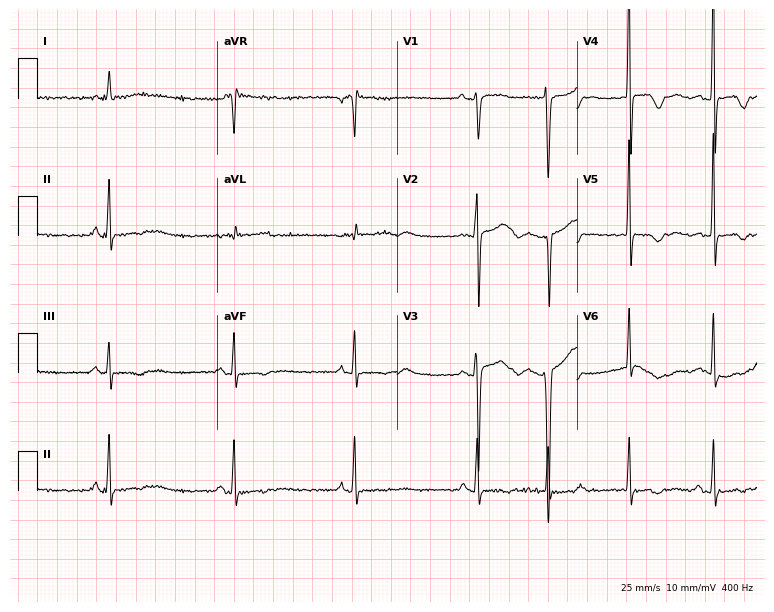
12-lead ECG from a 77-year-old woman. Screened for six findings — first-degree AV block, right bundle branch block, left bundle branch block, sinus bradycardia, atrial fibrillation, sinus tachycardia — none is recorded.